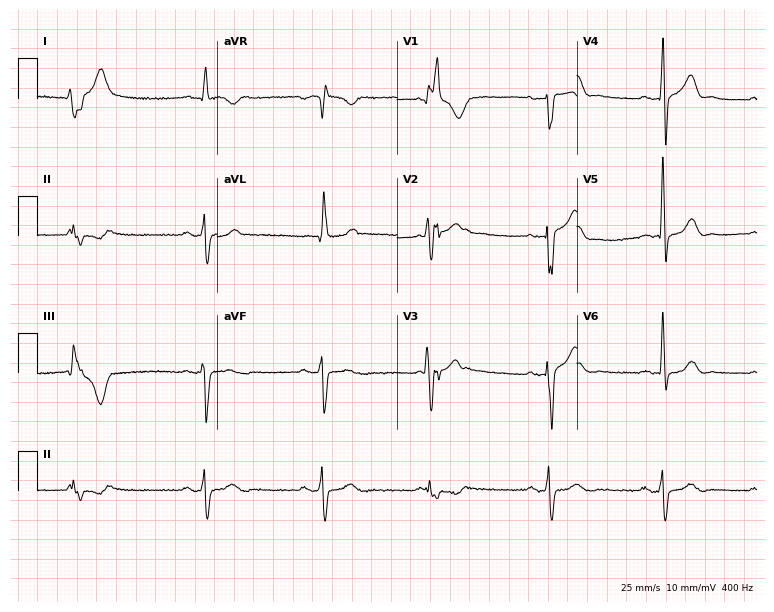
ECG (7.3-second recording at 400 Hz) — a male patient, 79 years old. Screened for six findings — first-degree AV block, right bundle branch block, left bundle branch block, sinus bradycardia, atrial fibrillation, sinus tachycardia — none is recorded.